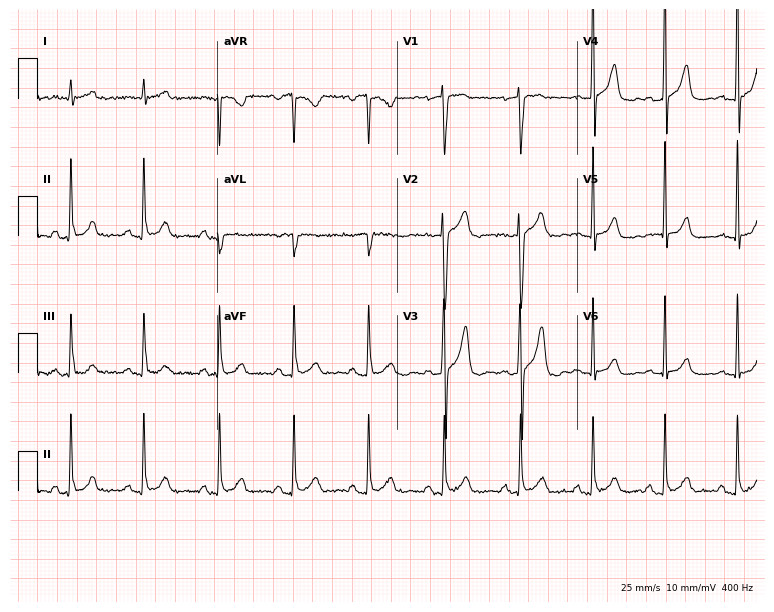
Electrocardiogram (7.3-second recording at 400 Hz), a 39-year-old male patient. Overall reading on record: normal ECG.